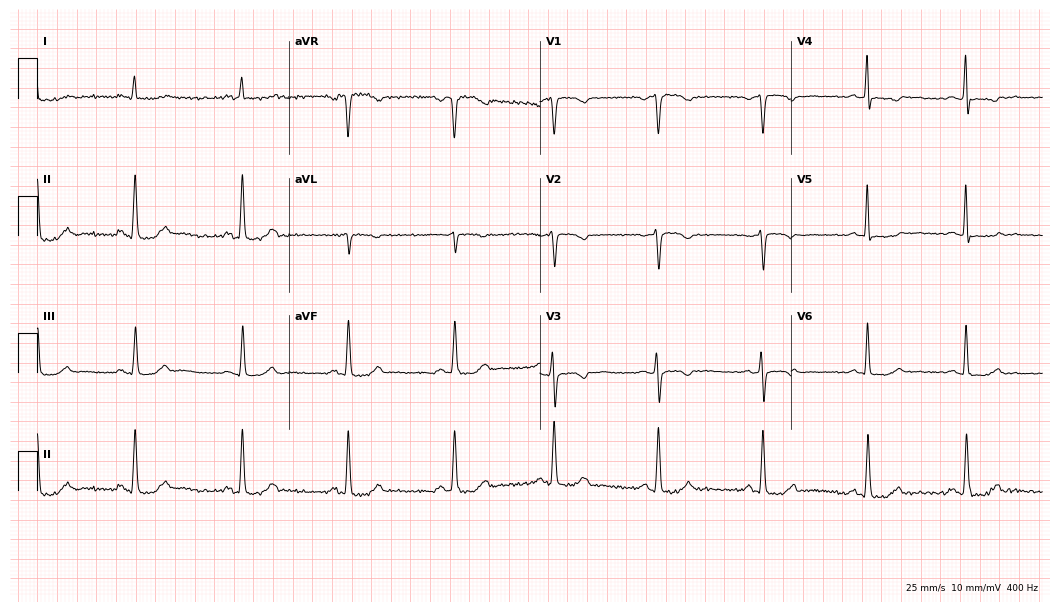
12-lead ECG from a 71-year-old female (10.2-second recording at 400 Hz). No first-degree AV block, right bundle branch block, left bundle branch block, sinus bradycardia, atrial fibrillation or sinus tachycardia recorded for this tracing.